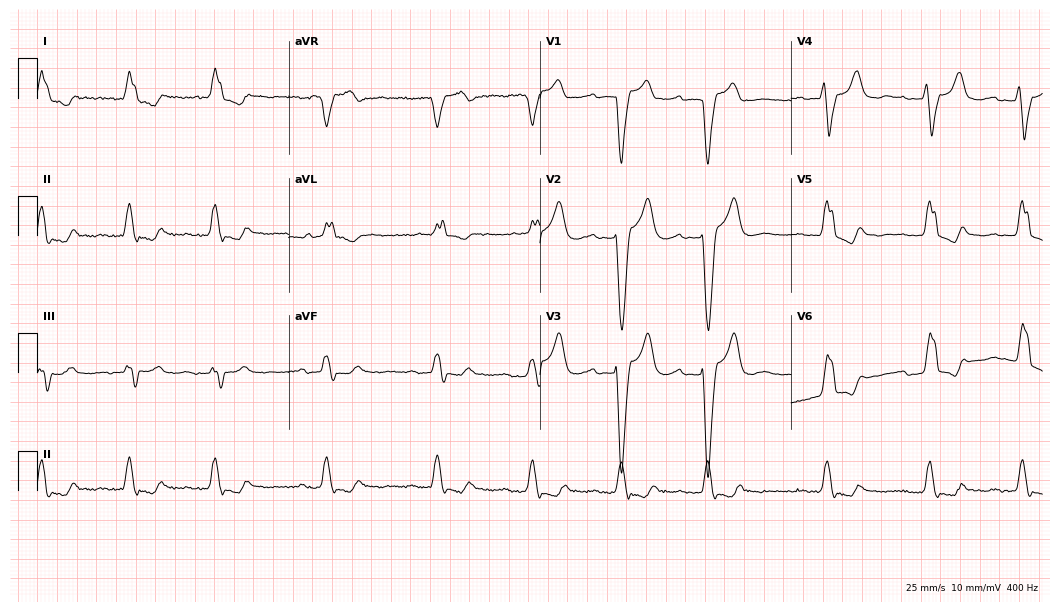
12-lead ECG (10.2-second recording at 400 Hz) from an 83-year-old female. Findings include first-degree AV block, left bundle branch block (LBBB).